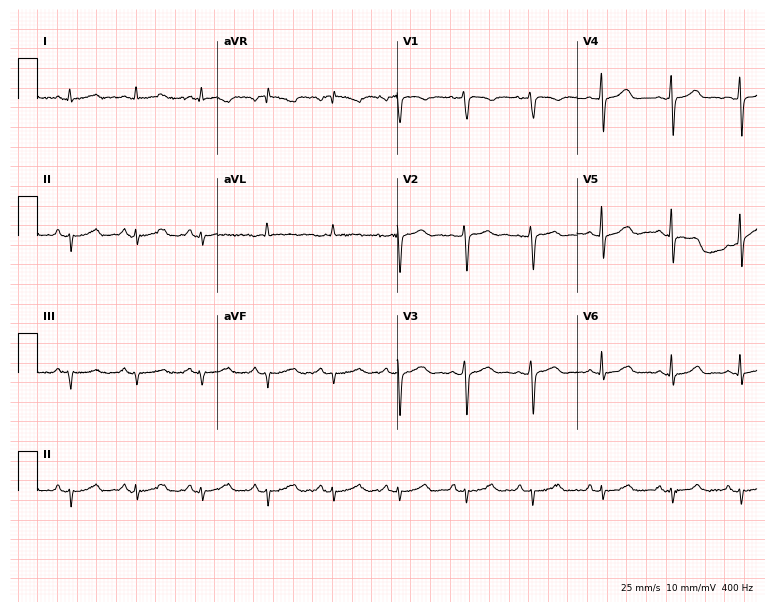
12-lead ECG from a 51-year-old female. No first-degree AV block, right bundle branch block, left bundle branch block, sinus bradycardia, atrial fibrillation or sinus tachycardia recorded for this tracing.